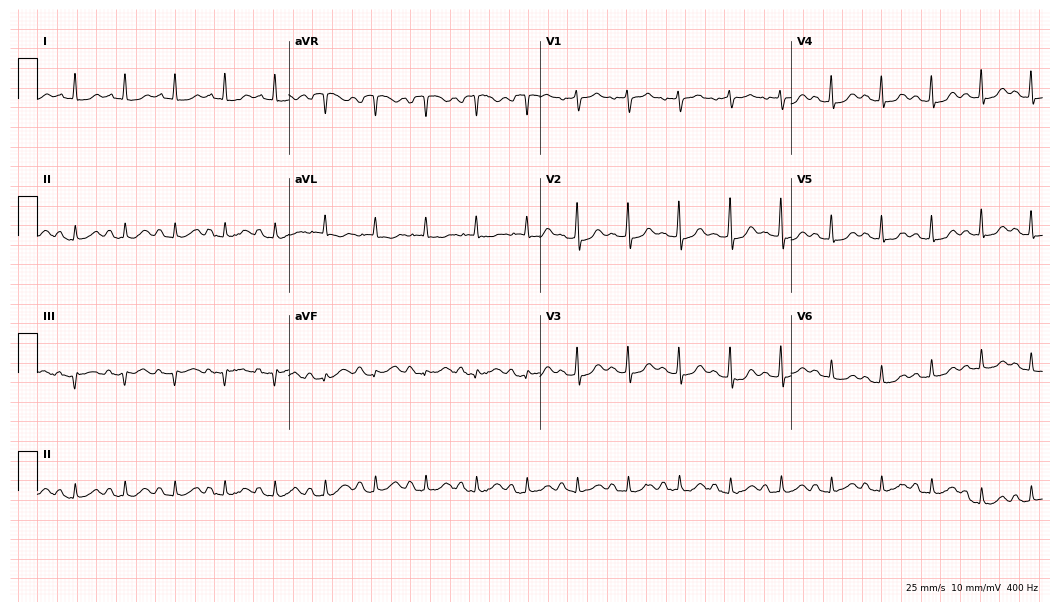
Standard 12-lead ECG recorded from a 77-year-old woman. The tracing shows sinus tachycardia (a sinus rate of 100 beats per minute or more).